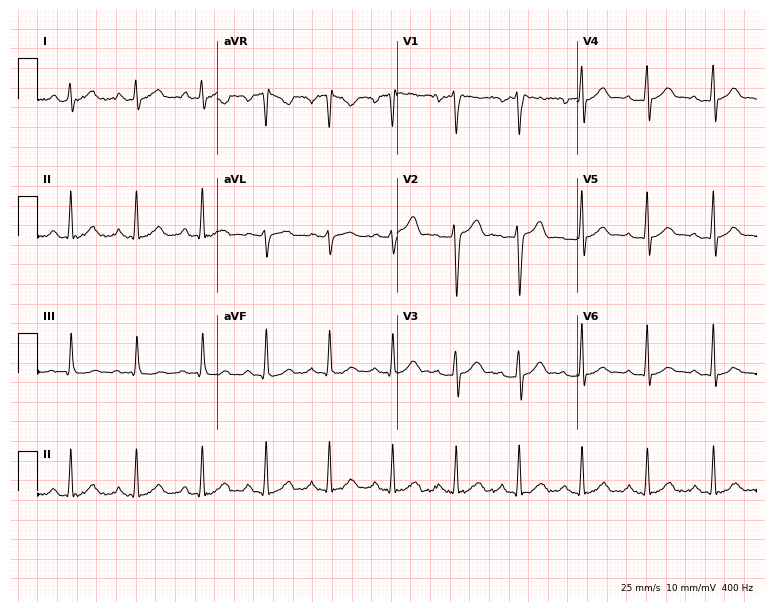
ECG (7.3-second recording at 400 Hz) — a 37-year-old male. Screened for six findings — first-degree AV block, right bundle branch block (RBBB), left bundle branch block (LBBB), sinus bradycardia, atrial fibrillation (AF), sinus tachycardia — none is recorded.